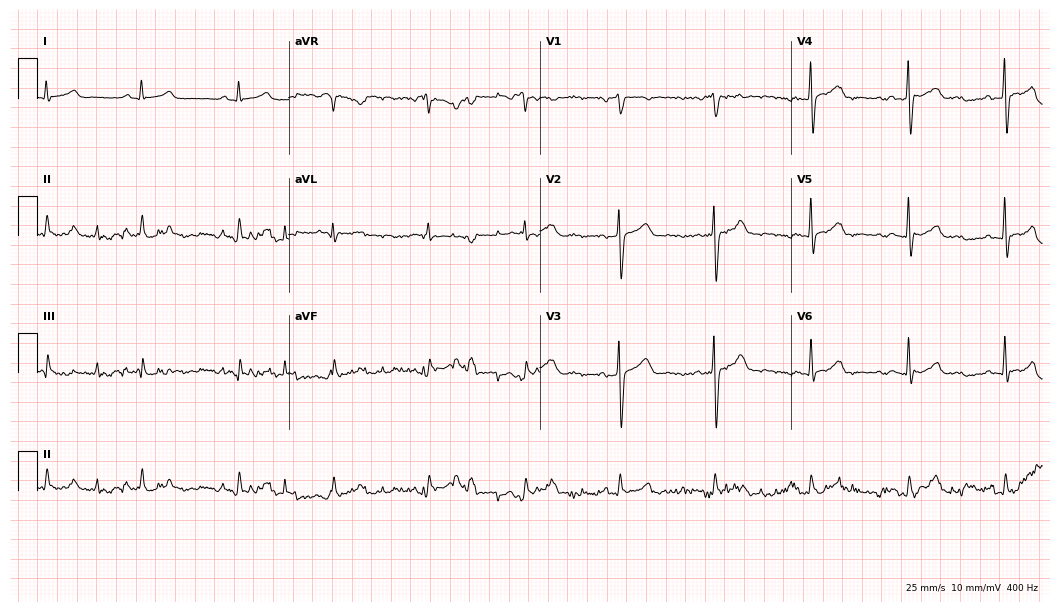
ECG — a male, 57 years old. Screened for six findings — first-degree AV block, right bundle branch block, left bundle branch block, sinus bradycardia, atrial fibrillation, sinus tachycardia — none is recorded. Only these six findings were labelled.